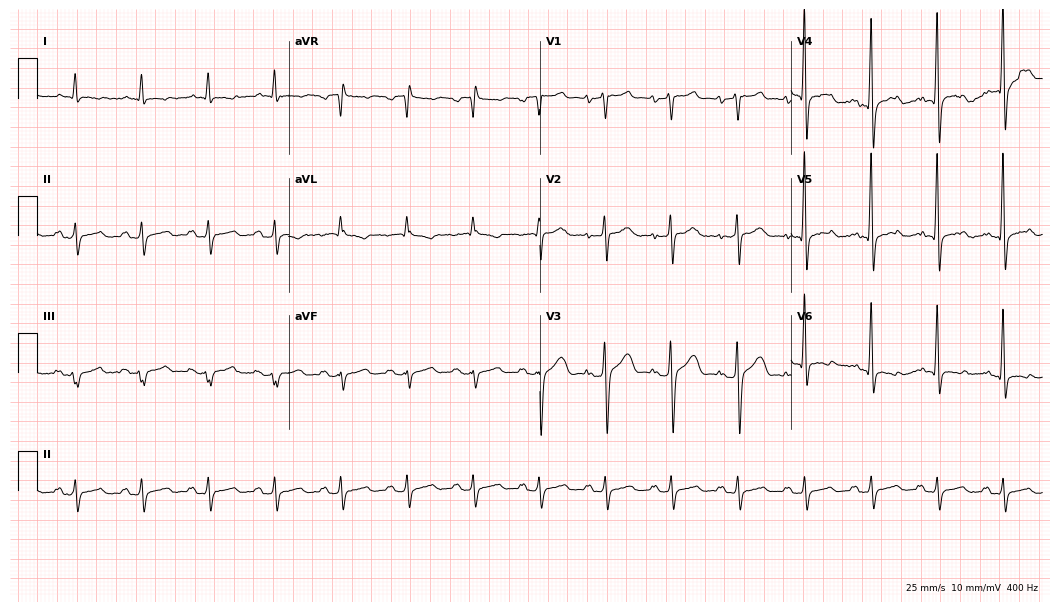
Electrocardiogram (10.2-second recording at 400 Hz), a 66-year-old man. Of the six screened findings (first-degree AV block, right bundle branch block, left bundle branch block, sinus bradycardia, atrial fibrillation, sinus tachycardia), none is recorded.